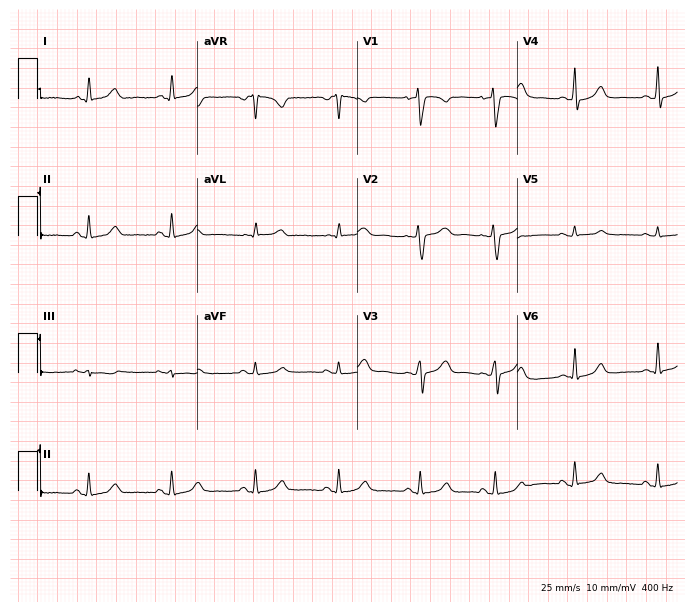
Resting 12-lead electrocardiogram. Patient: a 37-year-old female. Read as a normal ECG.